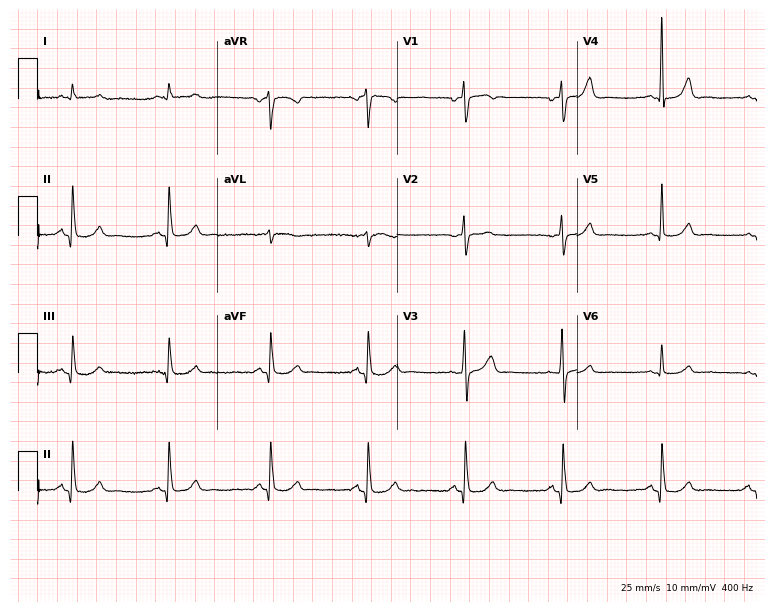
12-lead ECG from a male, 84 years old (7.3-second recording at 400 Hz). Recorded interpretation: within normal limits.